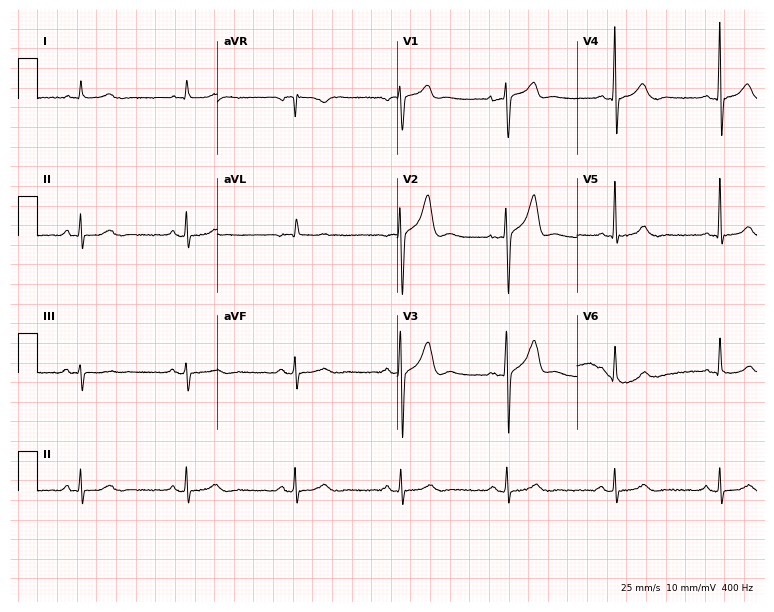
ECG (7.3-second recording at 400 Hz) — an 81-year-old male patient. Screened for six findings — first-degree AV block, right bundle branch block (RBBB), left bundle branch block (LBBB), sinus bradycardia, atrial fibrillation (AF), sinus tachycardia — none is recorded.